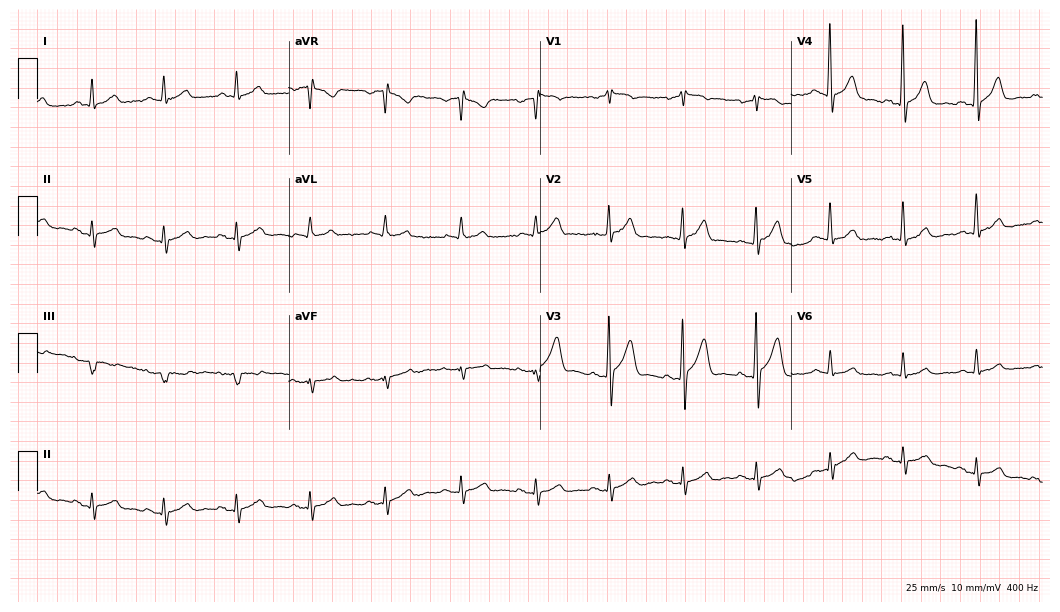
Electrocardiogram, a 52-year-old woman. Of the six screened findings (first-degree AV block, right bundle branch block, left bundle branch block, sinus bradycardia, atrial fibrillation, sinus tachycardia), none is recorded.